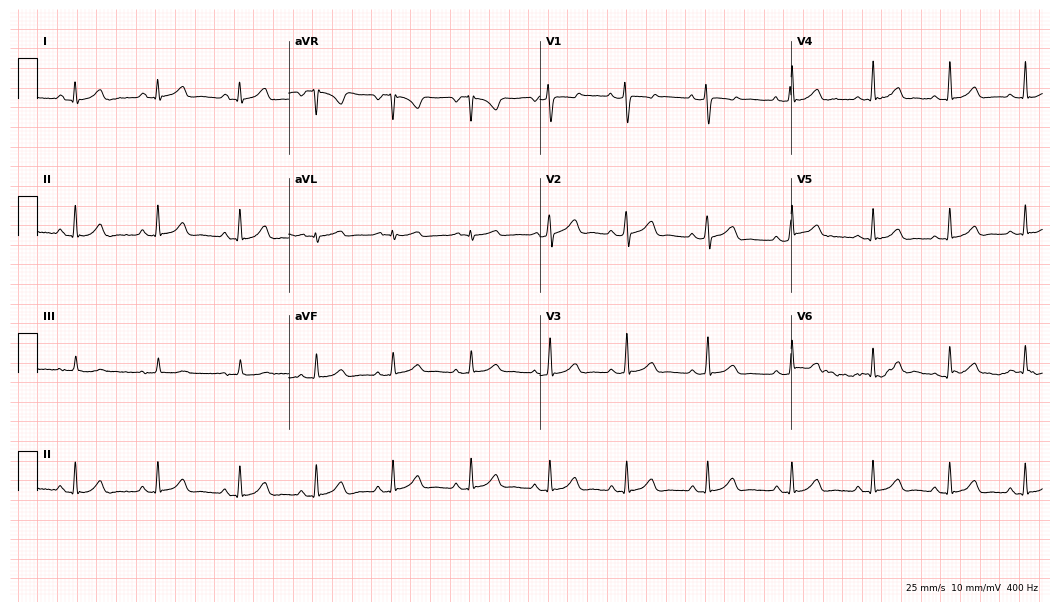
ECG (10.2-second recording at 400 Hz) — a 44-year-old female. Labelled as a normal ECG.